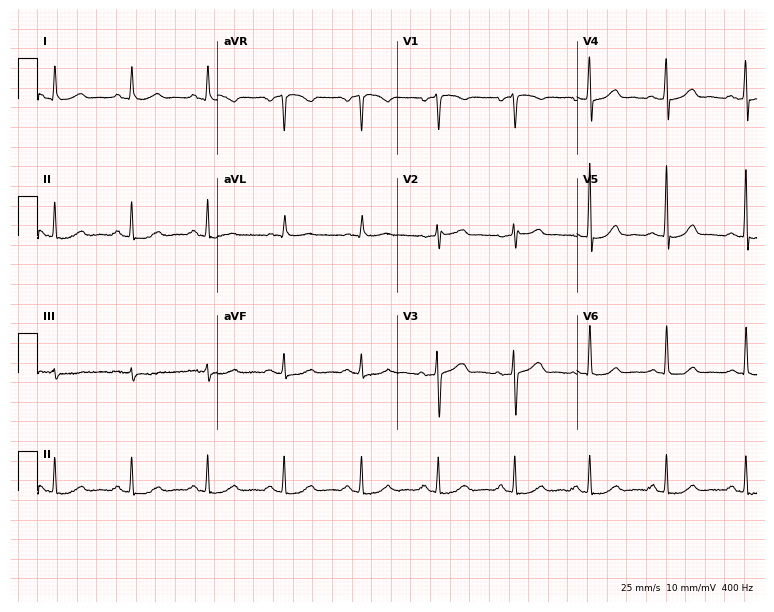
Resting 12-lead electrocardiogram. Patient: a female, 51 years old. Read as a normal ECG.